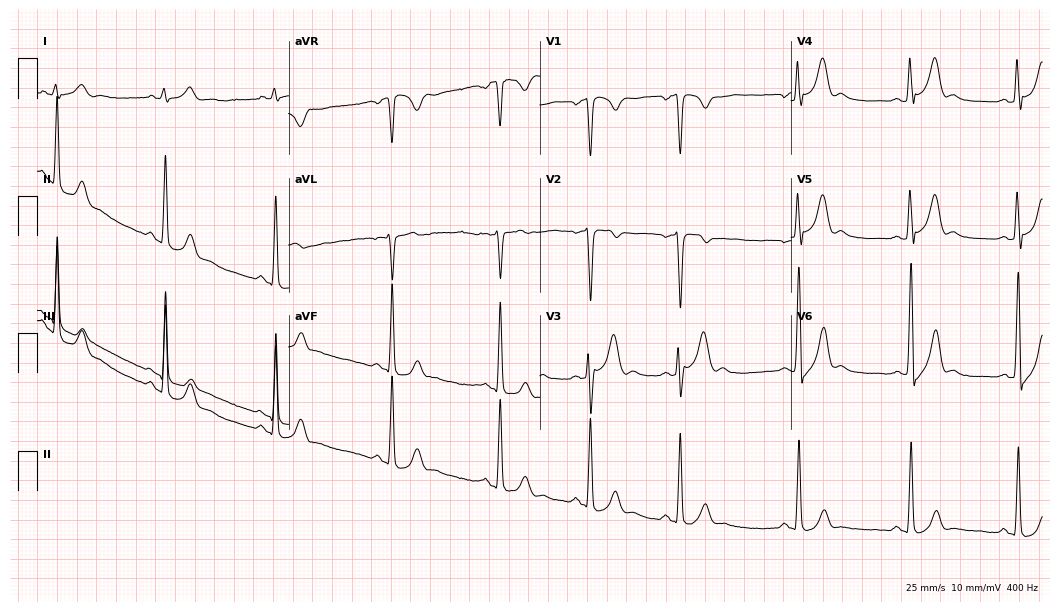
Standard 12-lead ECG recorded from a man, 18 years old. Read as a normal ECG.